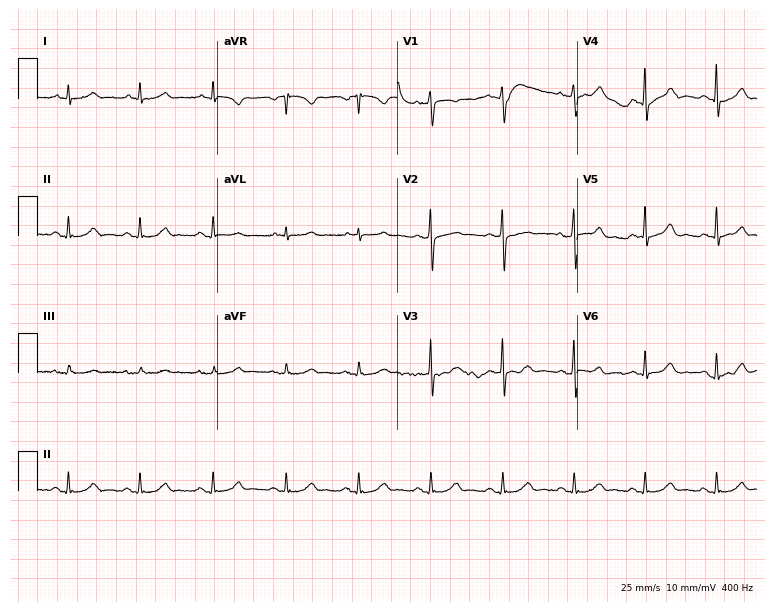
ECG — a man, 73 years old. Labelled as a normal ECG.